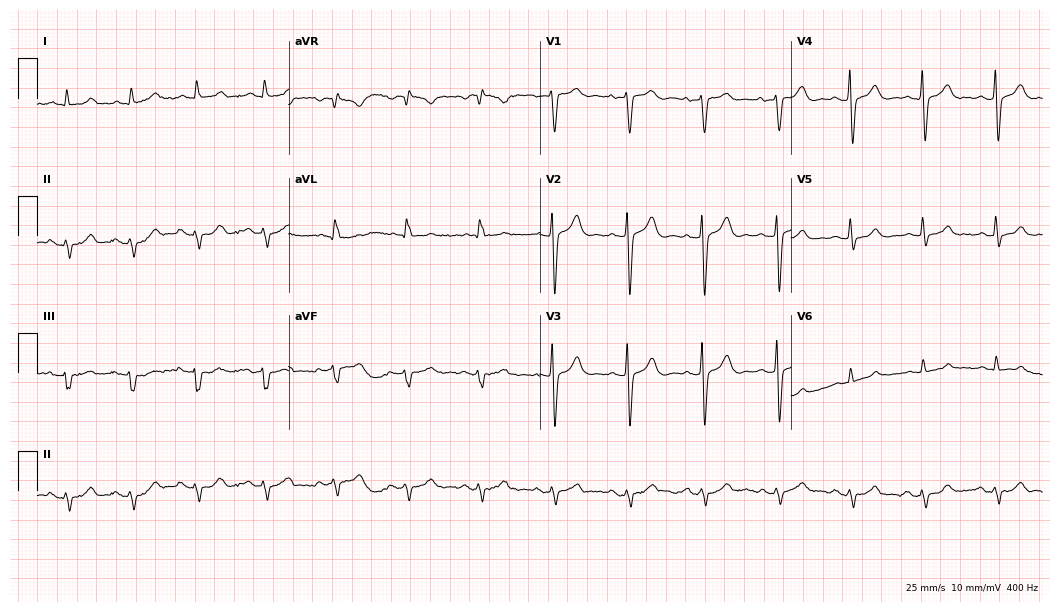
Standard 12-lead ECG recorded from a 73-year-old male. Read as a normal ECG.